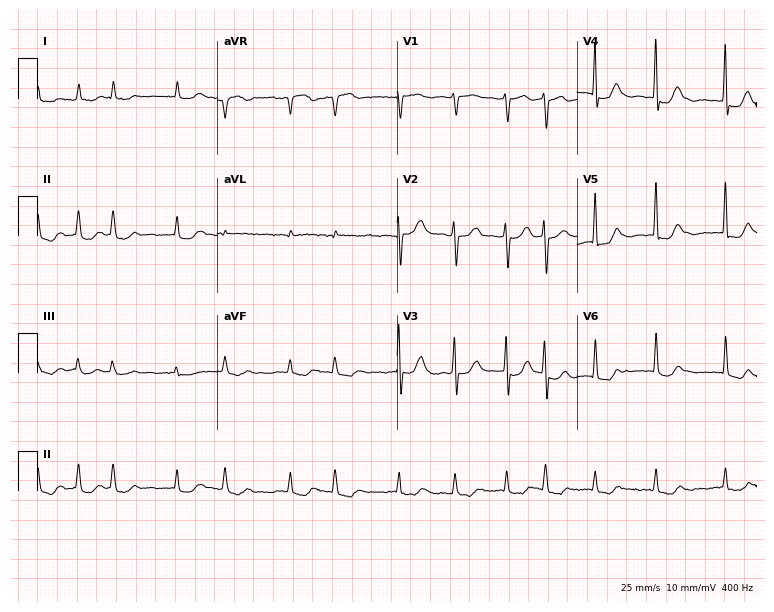
ECG (7.3-second recording at 400 Hz) — a male patient, 85 years old. Findings include atrial fibrillation (AF).